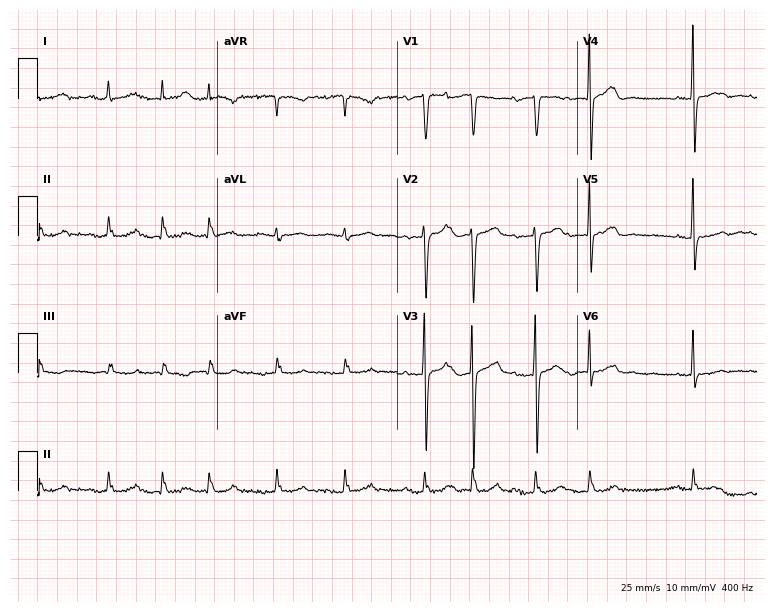
12-lead ECG from a female patient, 83 years old. No first-degree AV block, right bundle branch block, left bundle branch block, sinus bradycardia, atrial fibrillation or sinus tachycardia recorded for this tracing.